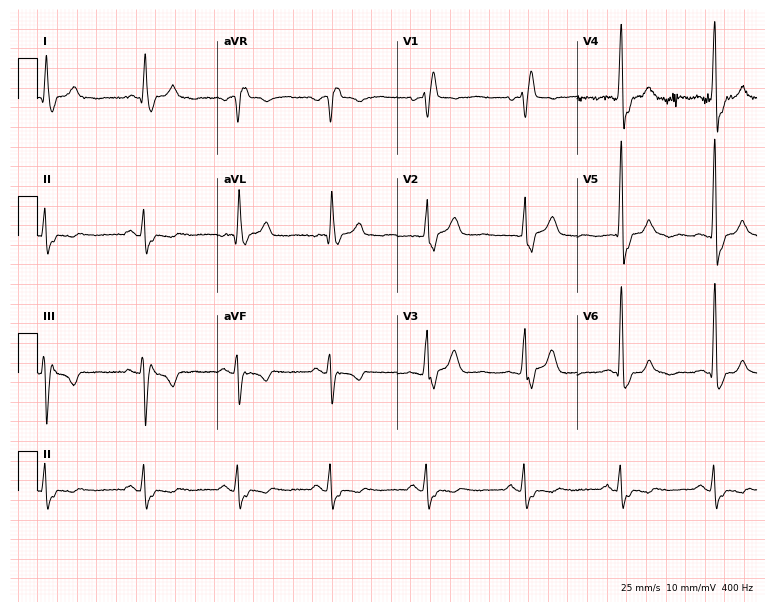
Standard 12-lead ECG recorded from a man, 64 years old. The tracing shows right bundle branch block.